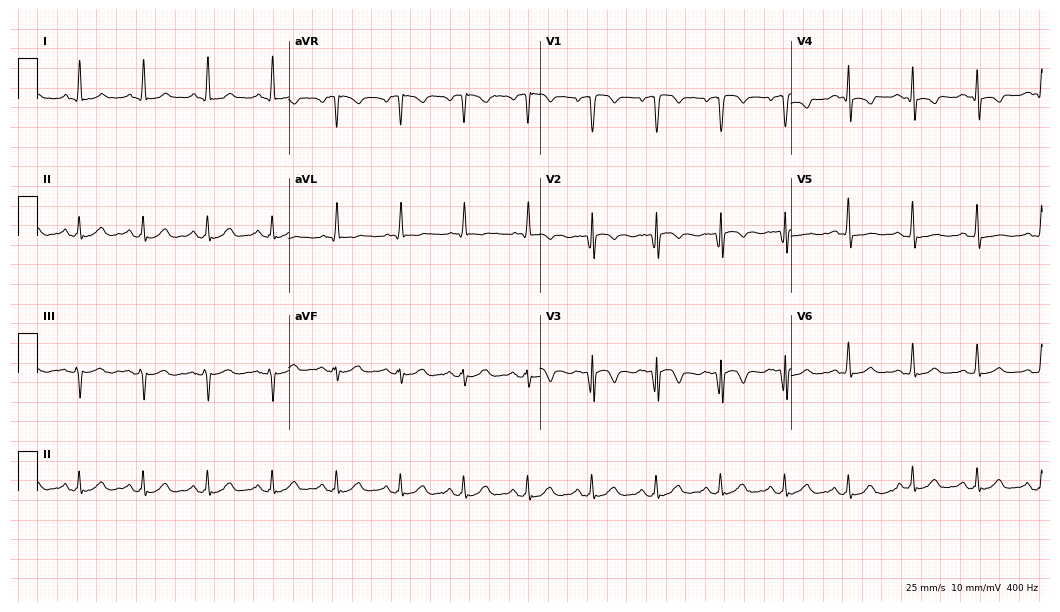
ECG — a male patient, 58 years old. Screened for six findings — first-degree AV block, right bundle branch block, left bundle branch block, sinus bradycardia, atrial fibrillation, sinus tachycardia — none is recorded.